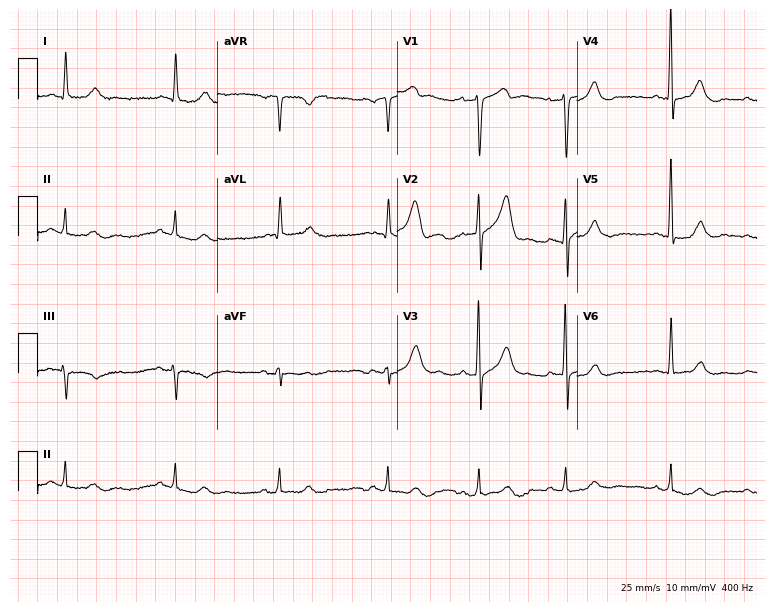
Resting 12-lead electrocardiogram. Patient: an 80-year-old man. Read as a normal ECG.